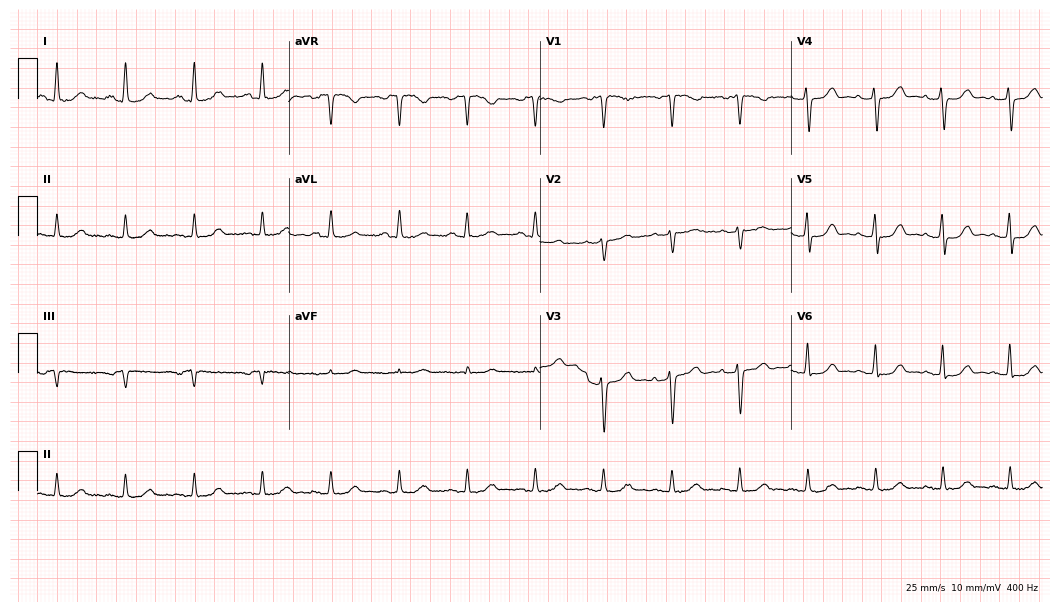
ECG — a female, 55 years old. Labelled as a normal ECG.